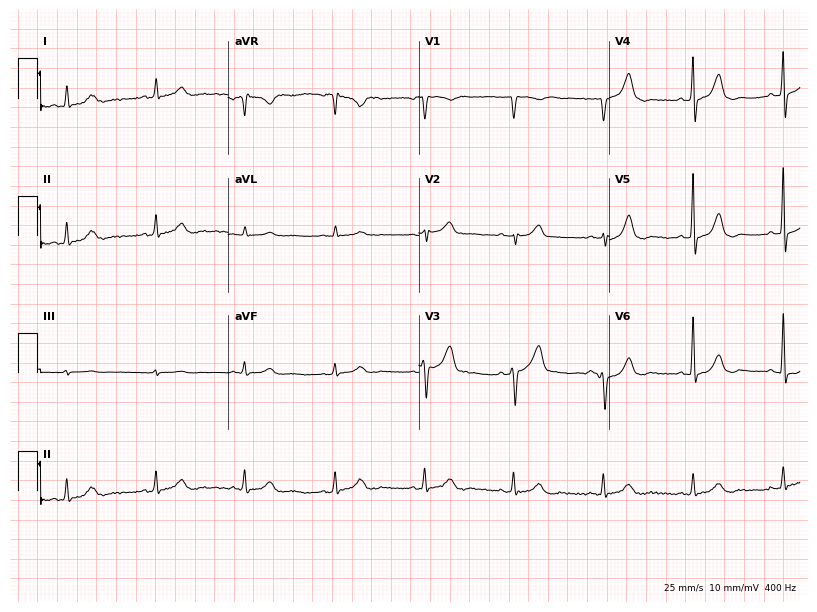
12-lead ECG (7.8-second recording at 400 Hz) from a 66-year-old woman. Labelled as a normal ECG.